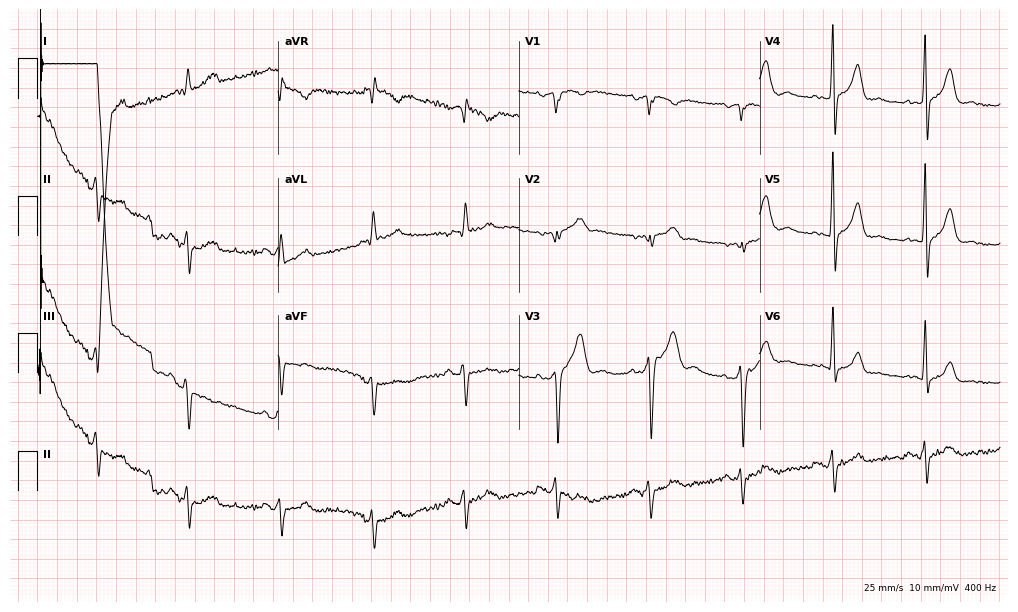
Resting 12-lead electrocardiogram (9.8-second recording at 400 Hz). Patient: a 59-year-old male. None of these six findings is recorded: first-degree AV block, right bundle branch block, left bundle branch block, sinus bradycardia, atrial fibrillation, sinus tachycardia. Only these six findings were labelled.